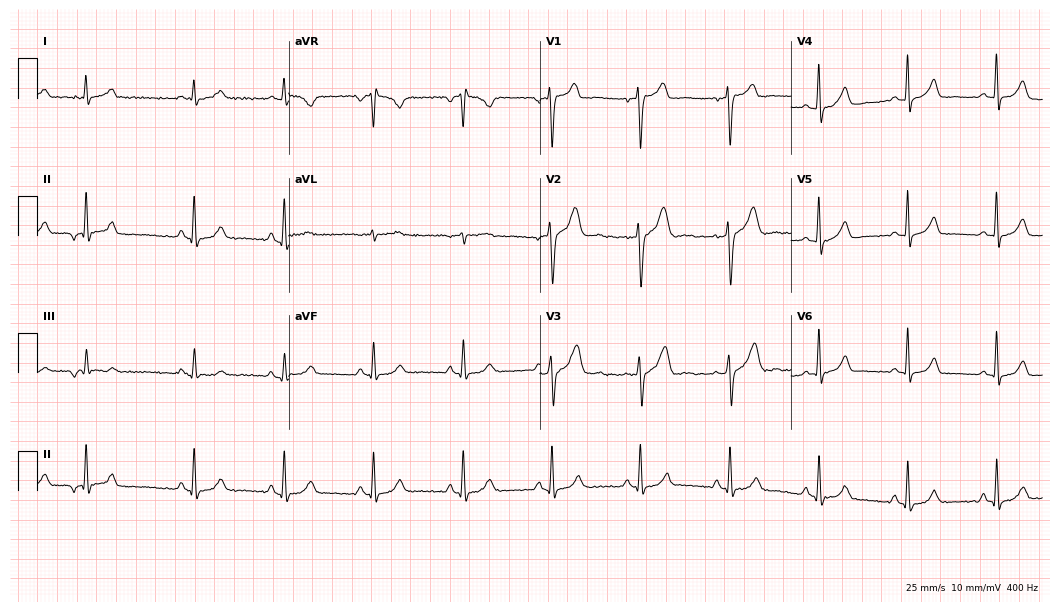
ECG (10.2-second recording at 400 Hz) — a male, 50 years old. Labelled as a normal ECG.